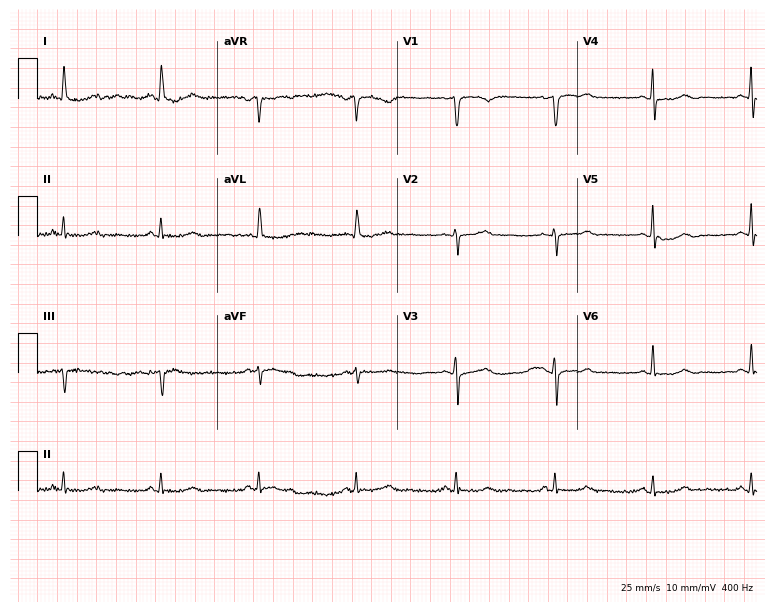
12-lead ECG from a female patient, 64 years old. No first-degree AV block, right bundle branch block, left bundle branch block, sinus bradycardia, atrial fibrillation or sinus tachycardia recorded for this tracing. Other findings, if any, are not listed.